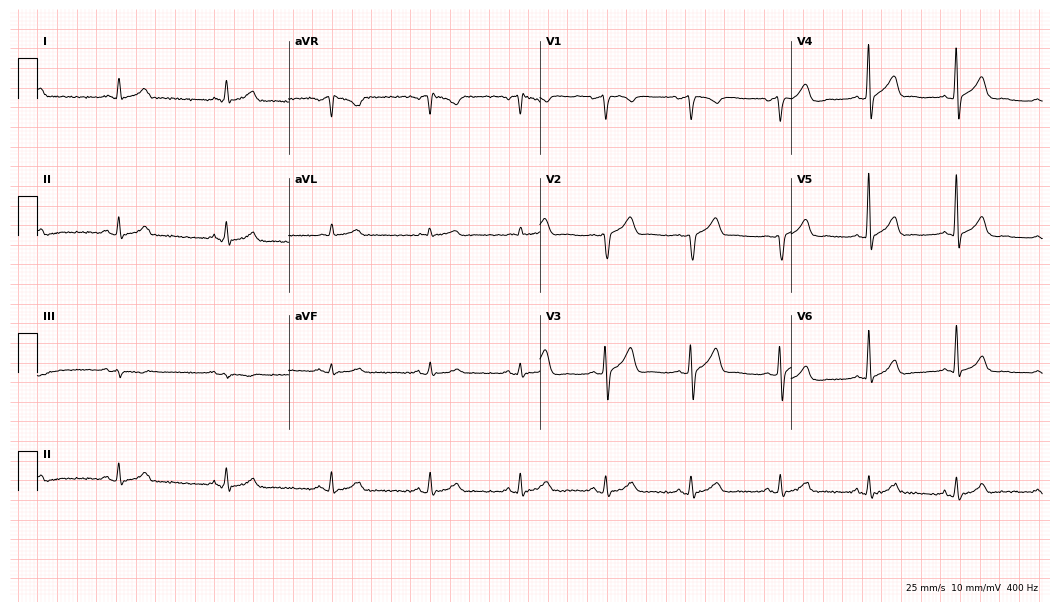
Resting 12-lead electrocardiogram. Patient: a 44-year-old male. Read as a normal ECG.